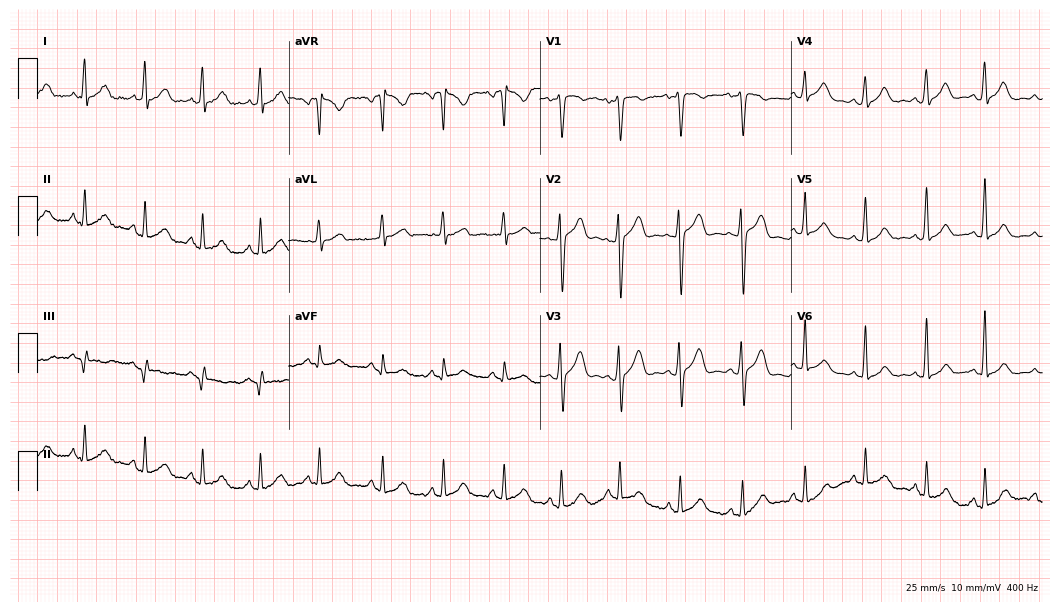
Electrocardiogram (10.2-second recording at 400 Hz), a 41-year-old female patient. Overall reading on record: normal ECG.